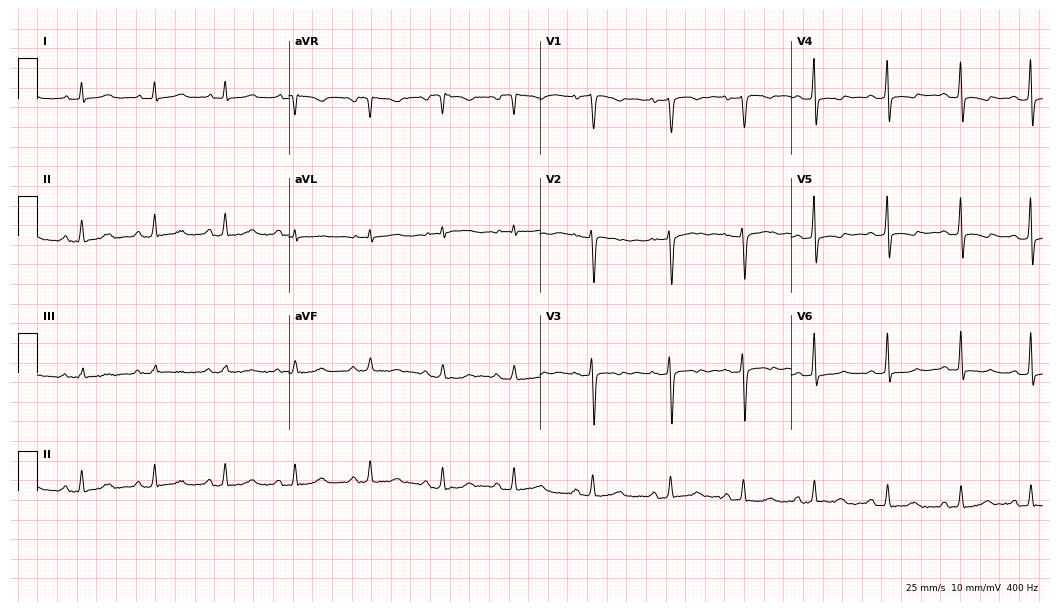
ECG (10.2-second recording at 400 Hz) — a female, 32 years old. Screened for six findings — first-degree AV block, right bundle branch block (RBBB), left bundle branch block (LBBB), sinus bradycardia, atrial fibrillation (AF), sinus tachycardia — none is recorded.